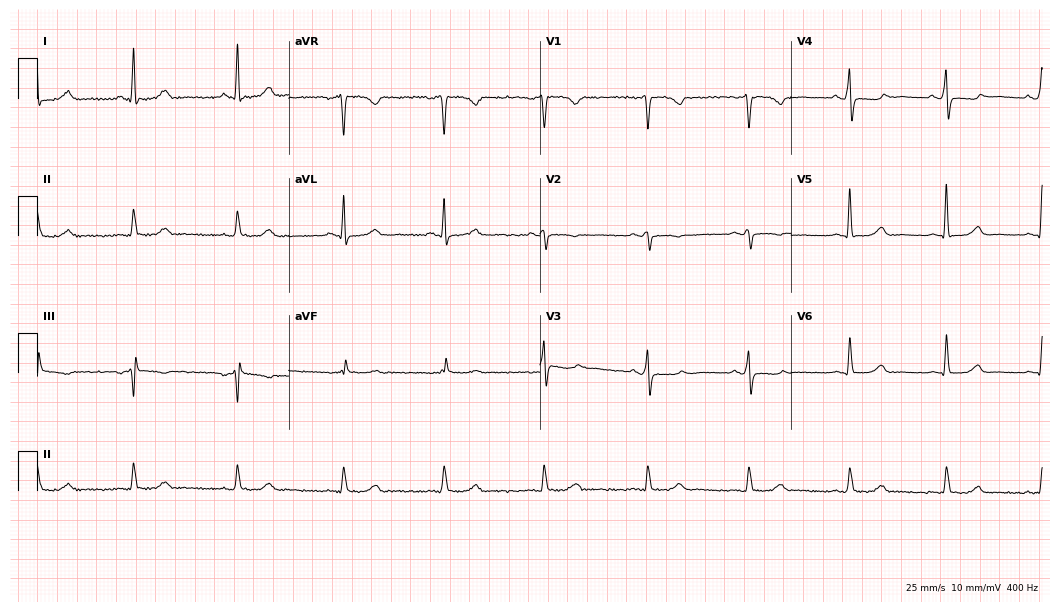
Electrocardiogram (10.2-second recording at 400 Hz), a 57-year-old female patient. Of the six screened findings (first-degree AV block, right bundle branch block, left bundle branch block, sinus bradycardia, atrial fibrillation, sinus tachycardia), none is recorded. Only these six findings were labelled.